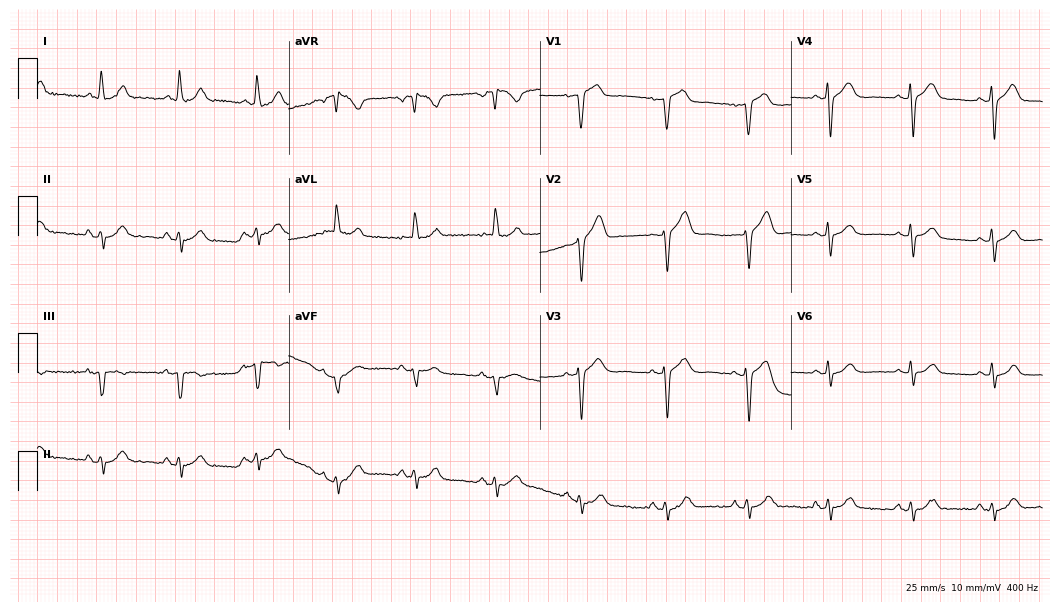
Standard 12-lead ECG recorded from a 70-year-old woman (10.2-second recording at 400 Hz). None of these six findings is recorded: first-degree AV block, right bundle branch block (RBBB), left bundle branch block (LBBB), sinus bradycardia, atrial fibrillation (AF), sinus tachycardia.